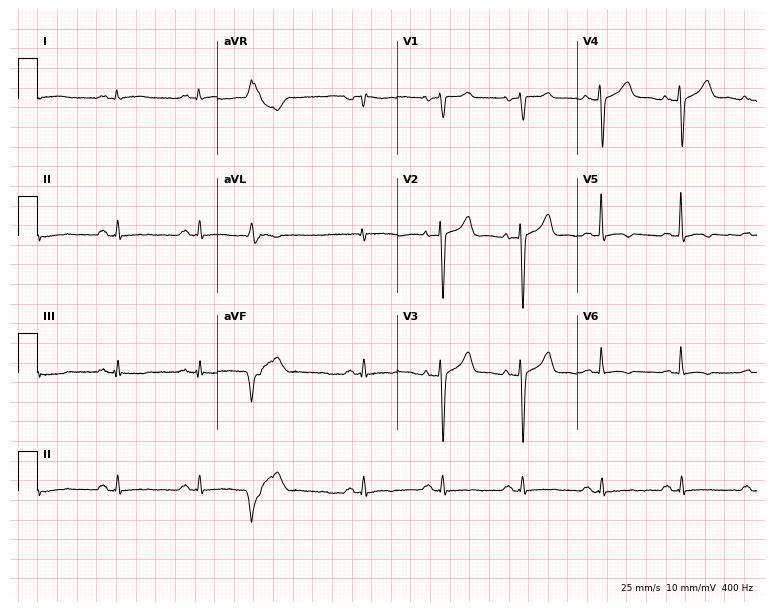
Resting 12-lead electrocardiogram (7.3-second recording at 400 Hz). Patient: a 51-year-old man. None of these six findings is recorded: first-degree AV block, right bundle branch block, left bundle branch block, sinus bradycardia, atrial fibrillation, sinus tachycardia. Findings outside these six are not listed.